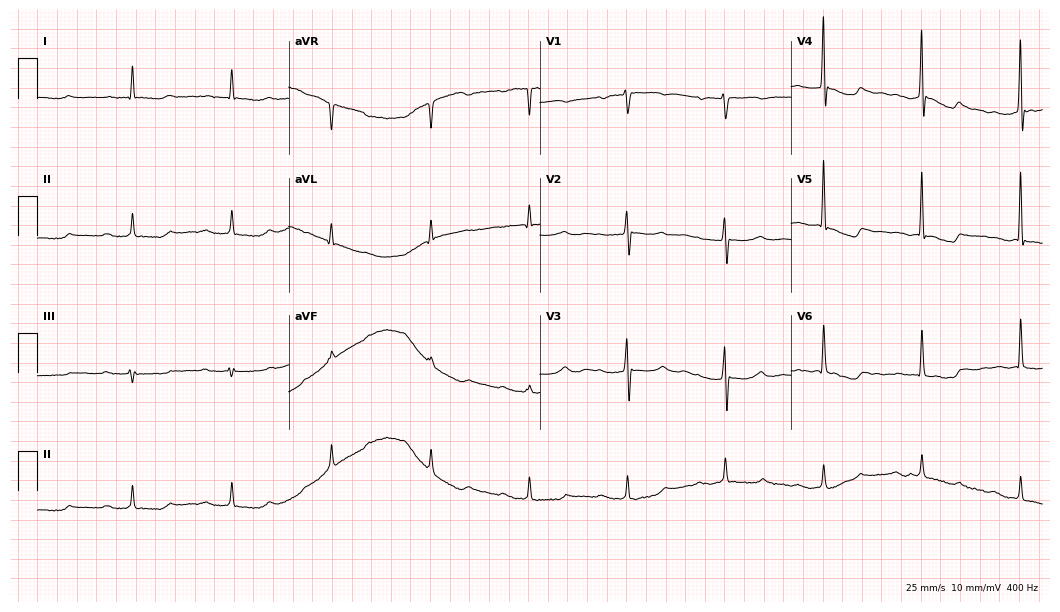
Resting 12-lead electrocardiogram (10.2-second recording at 400 Hz). Patient: an 84-year-old woman. None of these six findings is recorded: first-degree AV block, right bundle branch block (RBBB), left bundle branch block (LBBB), sinus bradycardia, atrial fibrillation (AF), sinus tachycardia. Other findings, if any, are not listed.